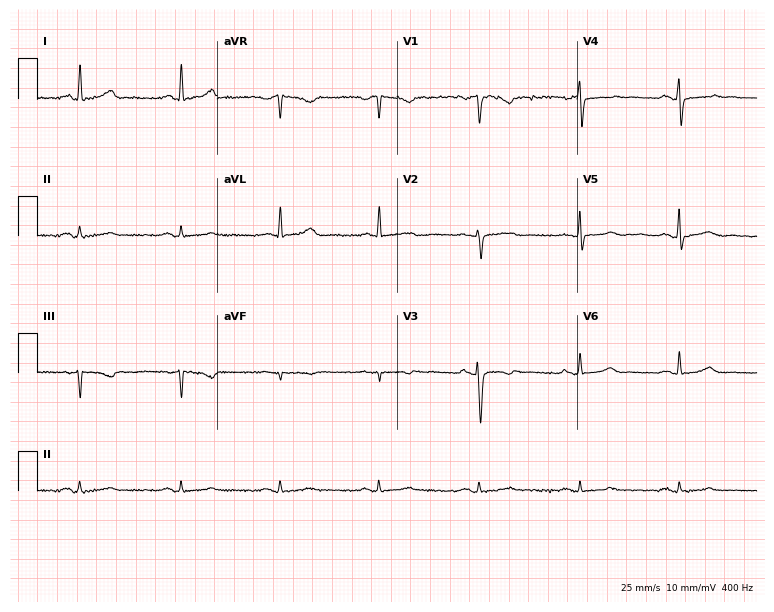
Standard 12-lead ECG recorded from a female patient, 67 years old (7.3-second recording at 400 Hz). None of these six findings is recorded: first-degree AV block, right bundle branch block, left bundle branch block, sinus bradycardia, atrial fibrillation, sinus tachycardia.